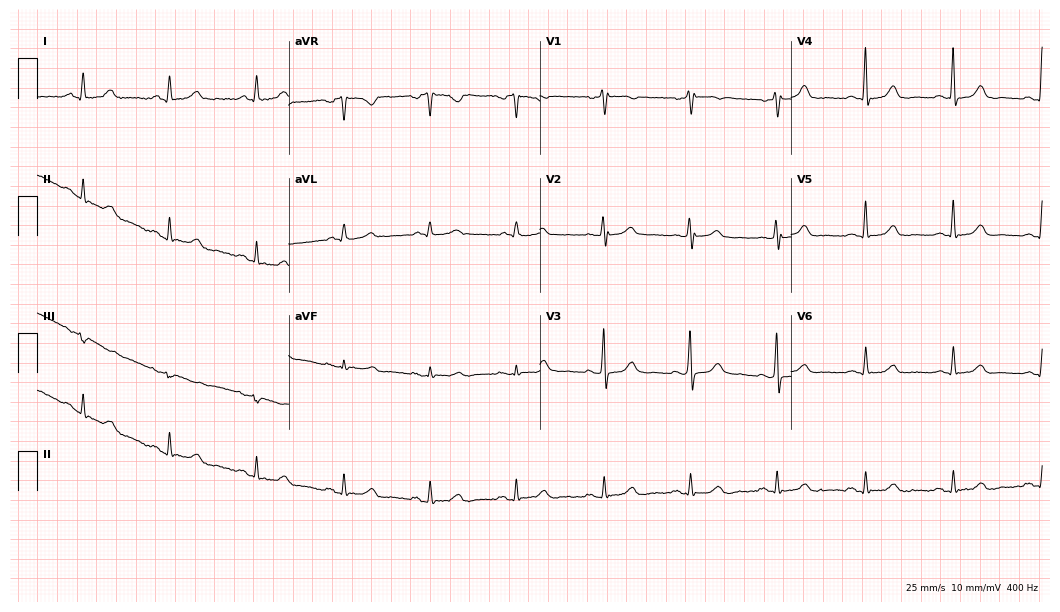
Electrocardiogram (10.2-second recording at 400 Hz), a 67-year-old woman. Of the six screened findings (first-degree AV block, right bundle branch block, left bundle branch block, sinus bradycardia, atrial fibrillation, sinus tachycardia), none is recorded.